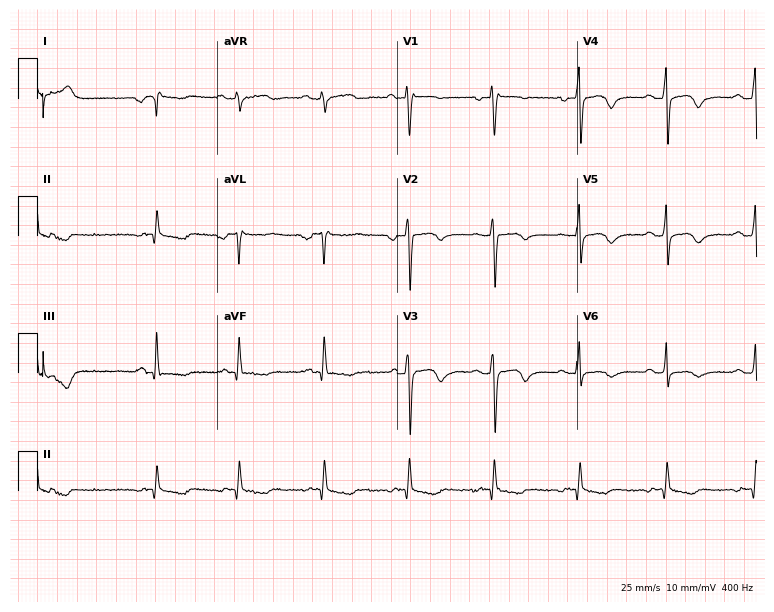
Standard 12-lead ECG recorded from a female, 56 years old (7.3-second recording at 400 Hz). None of these six findings is recorded: first-degree AV block, right bundle branch block (RBBB), left bundle branch block (LBBB), sinus bradycardia, atrial fibrillation (AF), sinus tachycardia. Only these six findings were labelled.